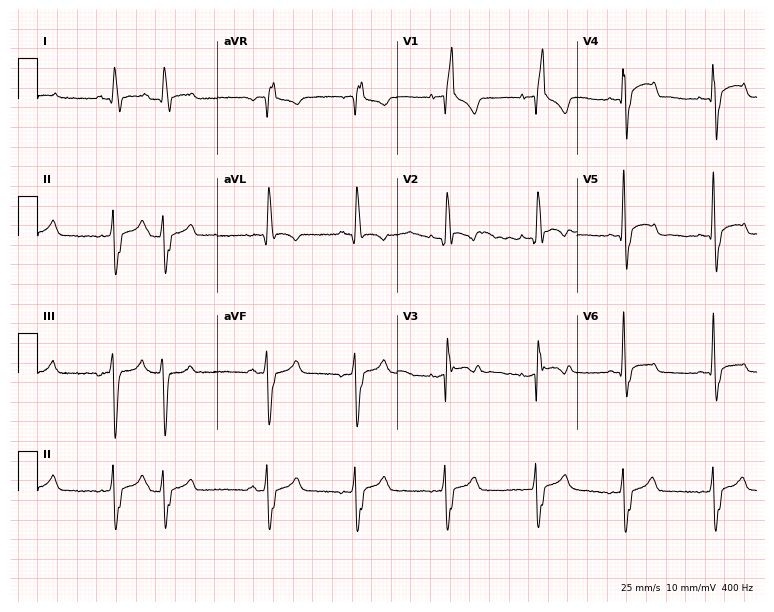
Electrocardiogram (7.3-second recording at 400 Hz), a male patient, 46 years old. Interpretation includes right bundle branch block.